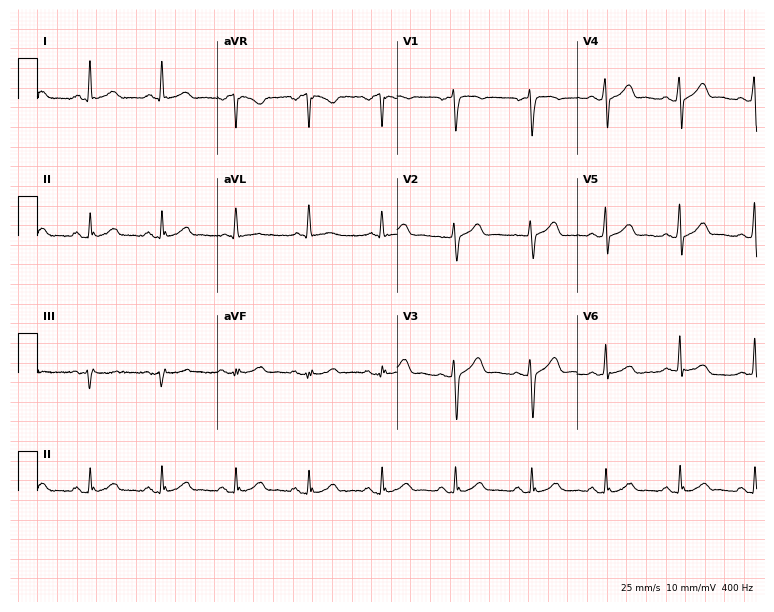
12-lead ECG from a male, 41 years old. Recorded interpretation: within normal limits.